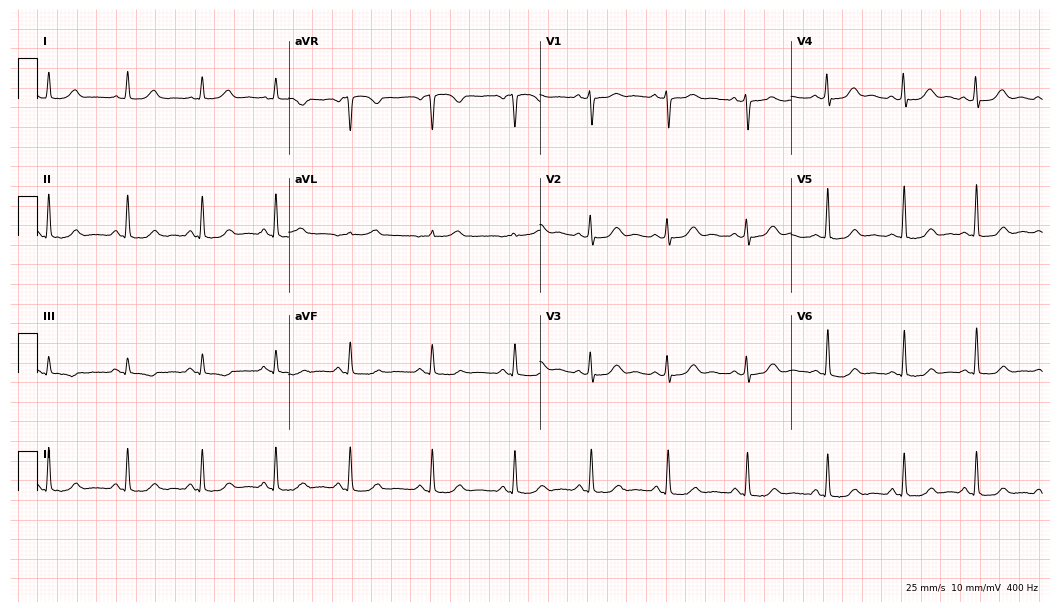
Resting 12-lead electrocardiogram. Patient: a 44-year-old woman. Read as a normal ECG.